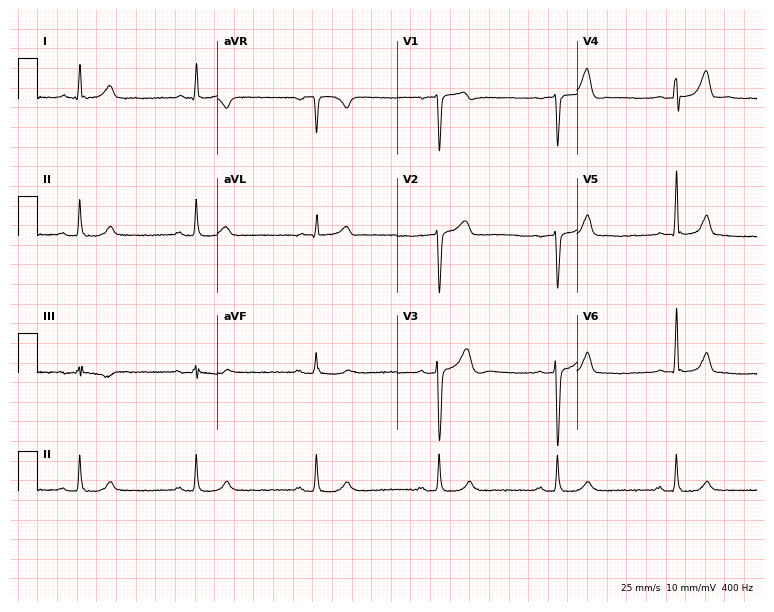
Standard 12-lead ECG recorded from a 52-year-old man. None of these six findings is recorded: first-degree AV block, right bundle branch block, left bundle branch block, sinus bradycardia, atrial fibrillation, sinus tachycardia. Only these six findings were labelled.